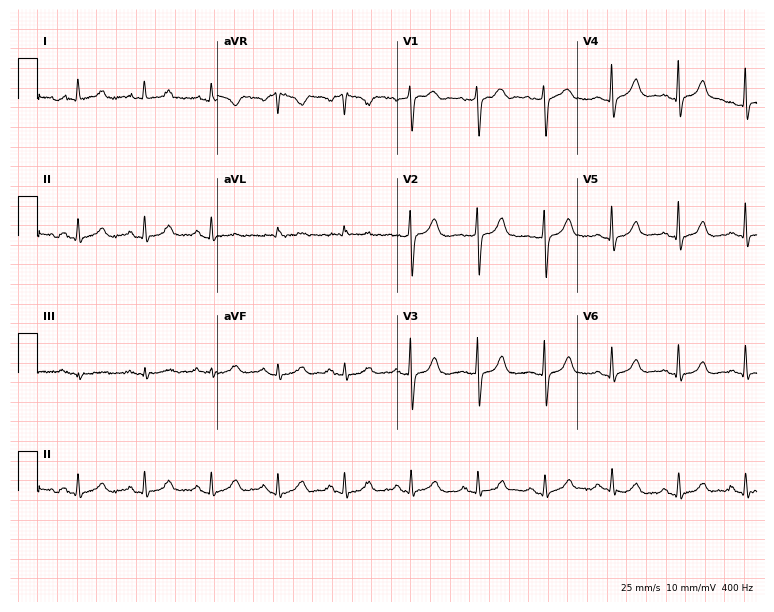
ECG (7.3-second recording at 400 Hz) — a 69-year-old female patient. Screened for six findings — first-degree AV block, right bundle branch block (RBBB), left bundle branch block (LBBB), sinus bradycardia, atrial fibrillation (AF), sinus tachycardia — none is recorded.